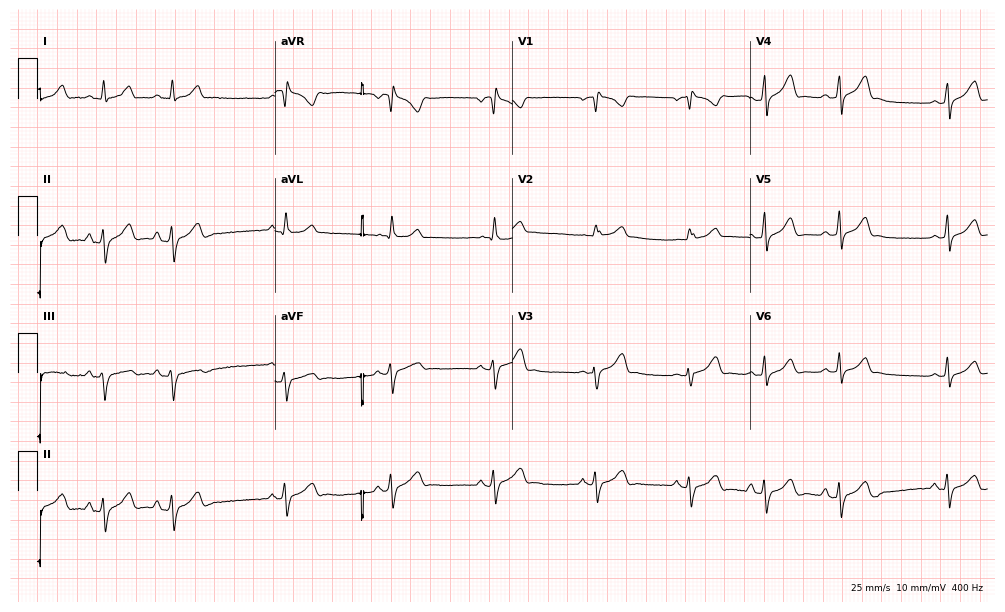
Standard 12-lead ECG recorded from a 19-year-old woman (9.7-second recording at 400 Hz). None of these six findings is recorded: first-degree AV block, right bundle branch block (RBBB), left bundle branch block (LBBB), sinus bradycardia, atrial fibrillation (AF), sinus tachycardia. Only these six findings were labelled.